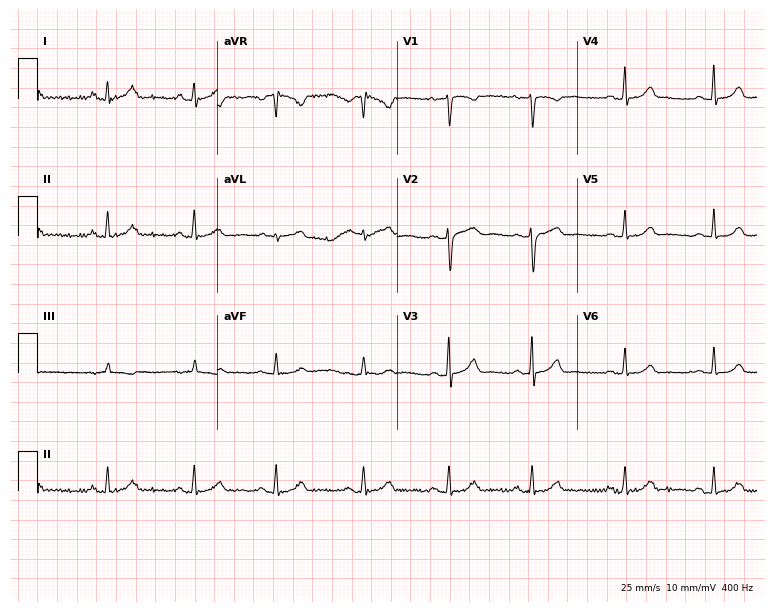
12-lead ECG (7.3-second recording at 400 Hz) from an 18-year-old female. Labelled as a normal ECG.